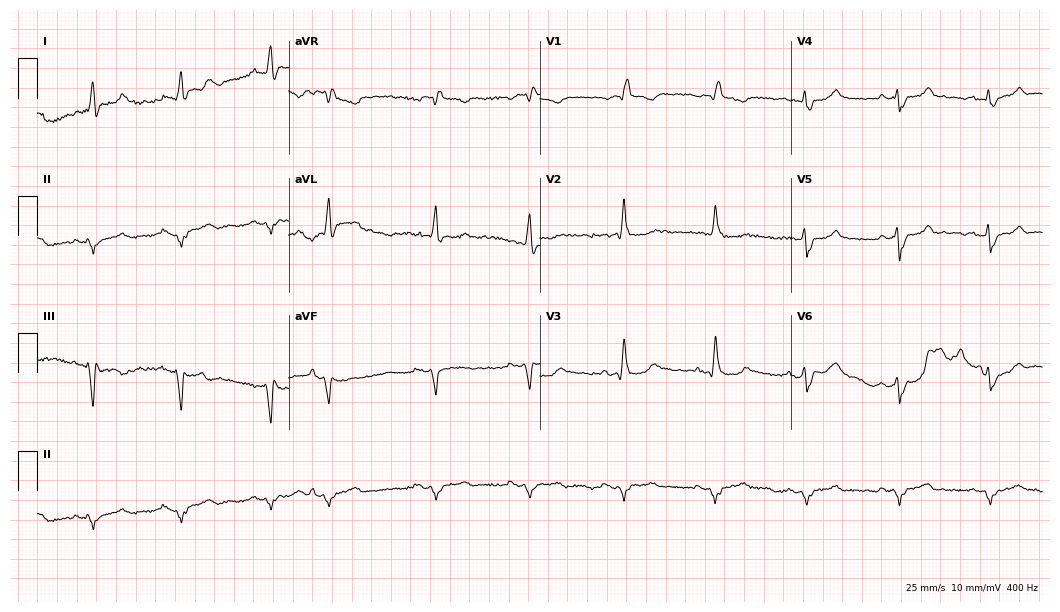
Resting 12-lead electrocardiogram (10.2-second recording at 400 Hz). Patient: an 81-year-old man. The tracing shows right bundle branch block.